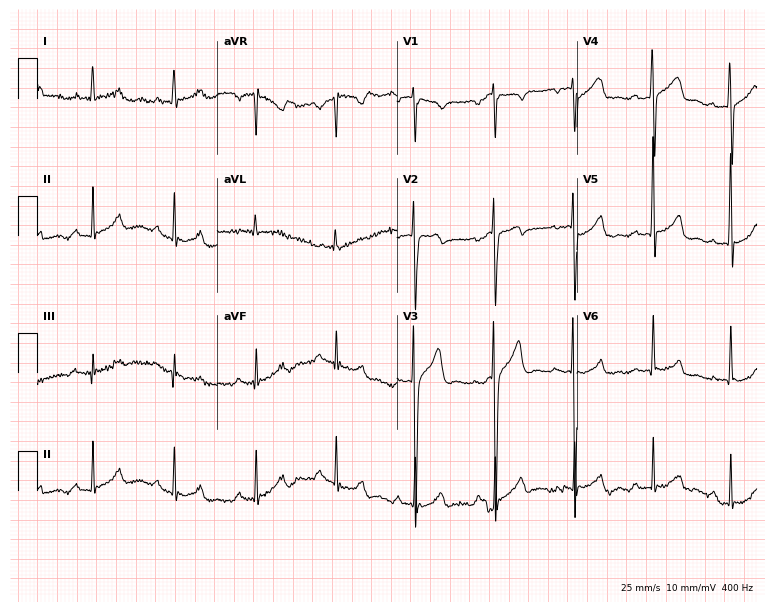
12-lead ECG from a man, 22 years old (7.3-second recording at 400 Hz). No first-degree AV block, right bundle branch block (RBBB), left bundle branch block (LBBB), sinus bradycardia, atrial fibrillation (AF) or sinus tachycardia recorded for this tracing.